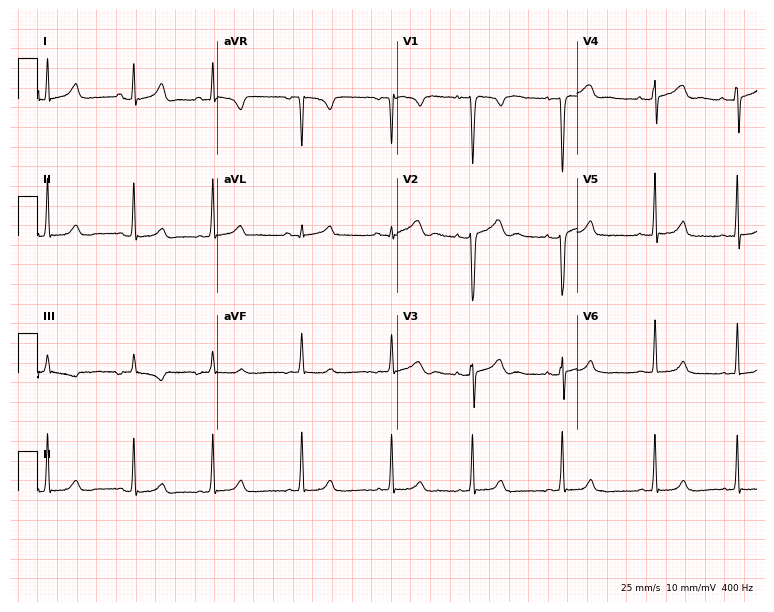
12-lead ECG from a woman, 24 years old. Labelled as a normal ECG.